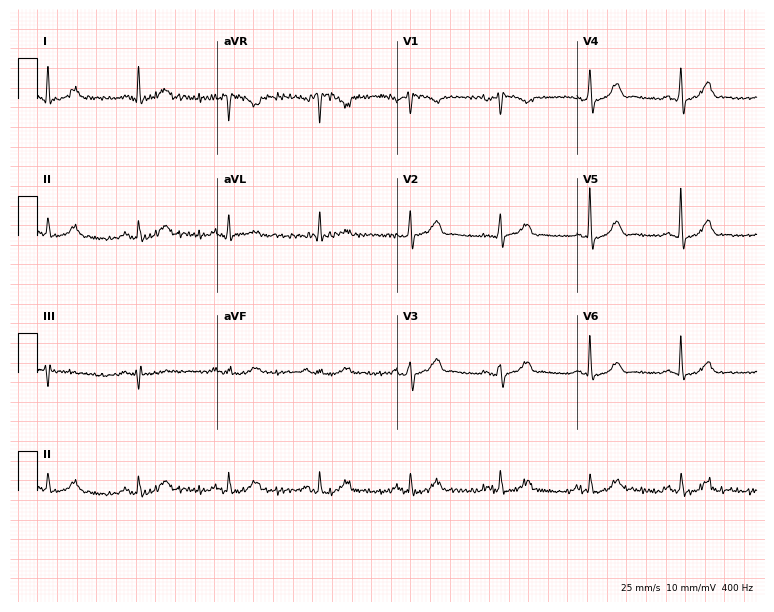
12-lead ECG (7.3-second recording at 400 Hz) from a man, 69 years old. Labelled as a normal ECG.